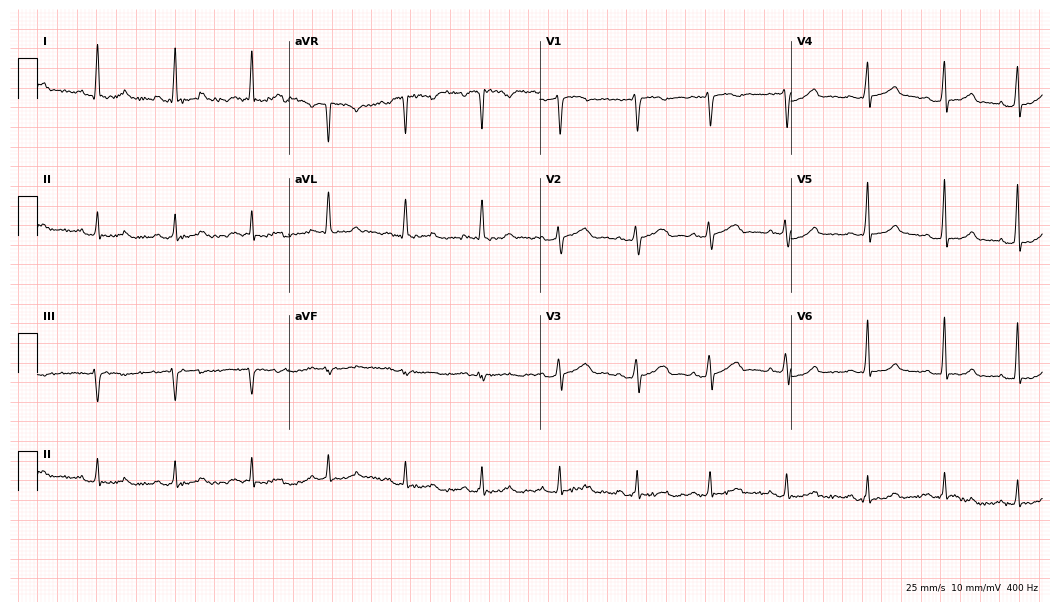
Standard 12-lead ECG recorded from a 53-year-old woman. None of these six findings is recorded: first-degree AV block, right bundle branch block (RBBB), left bundle branch block (LBBB), sinus bradycardia, atrial fibrillation (AF), sinus tachycardia. Other findings, if any, are not listed.